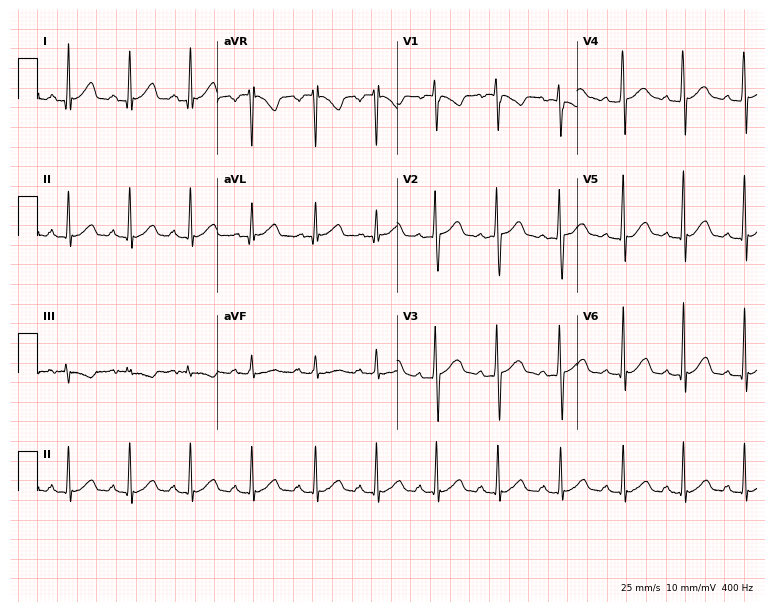
12-lead ECG from a 31-year-old woman (7.3-second recording at 400 Hz). No first-degree AV block, right bundle branch block, left bundle branch block, sinus bradycardia, atrial fibrillation or sinus tachycardia recorded for this tracing. Only these six findings were labelled.